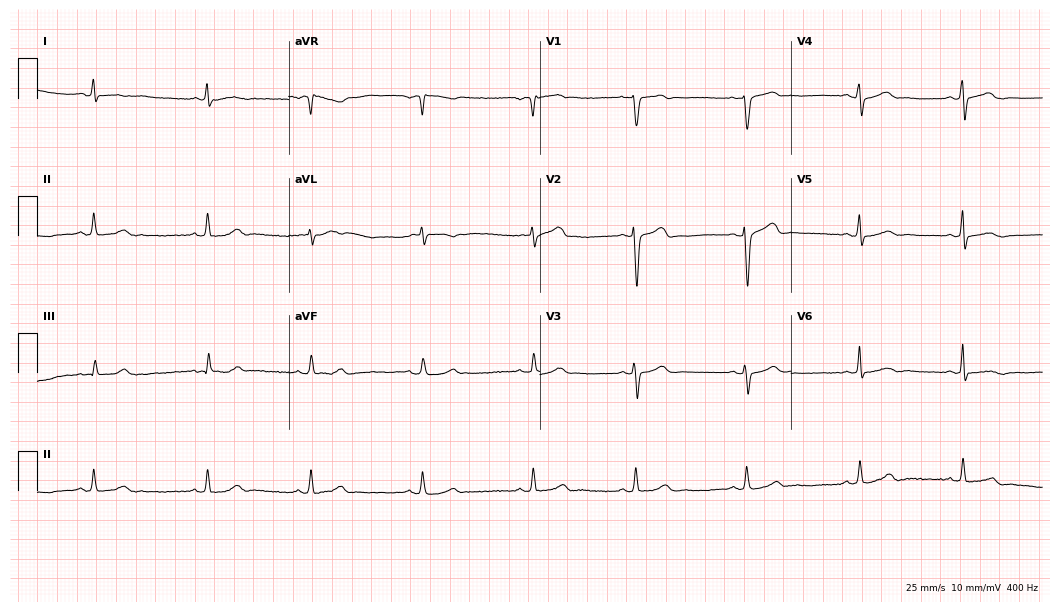
Standard 12-lead ECG recorded from a woman, 41 years old (10.2-second recording at 400 Hz). Read as a normal ECG.